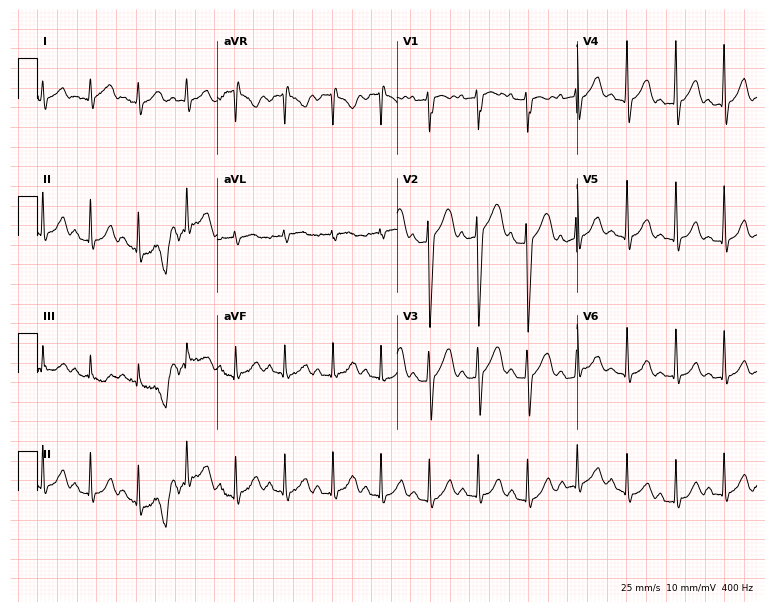
12-lead ECG from a 29-year-old female. Shows sinus tachycardia (a sinus rate of 100 beats per minute or more).